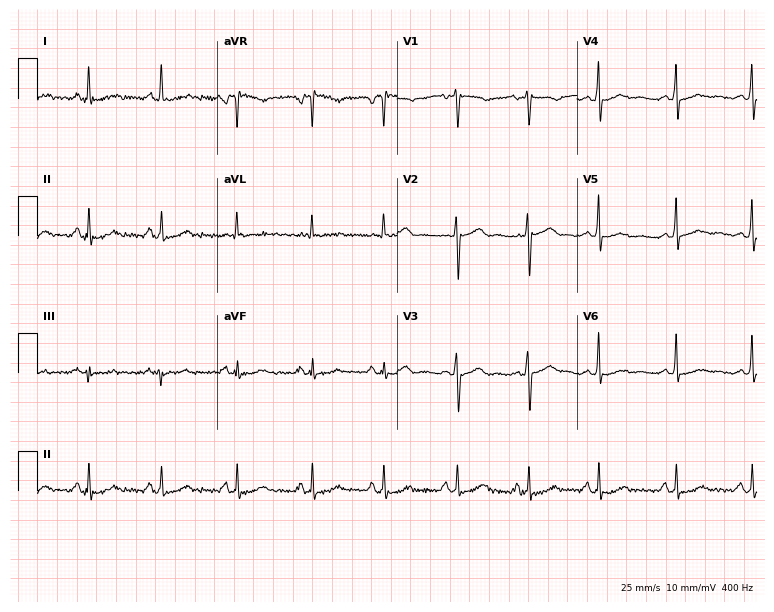
Resting 12-lead electrocardiogram (7.3-second recording at 400 Hz). Patient: a 56-year-old woman. None of these six findings is recorded: first-degree AV block, right bundle branch block, left bundle branch block, sinus bradycardia, atrial fibrillation, sinus tachycardia.